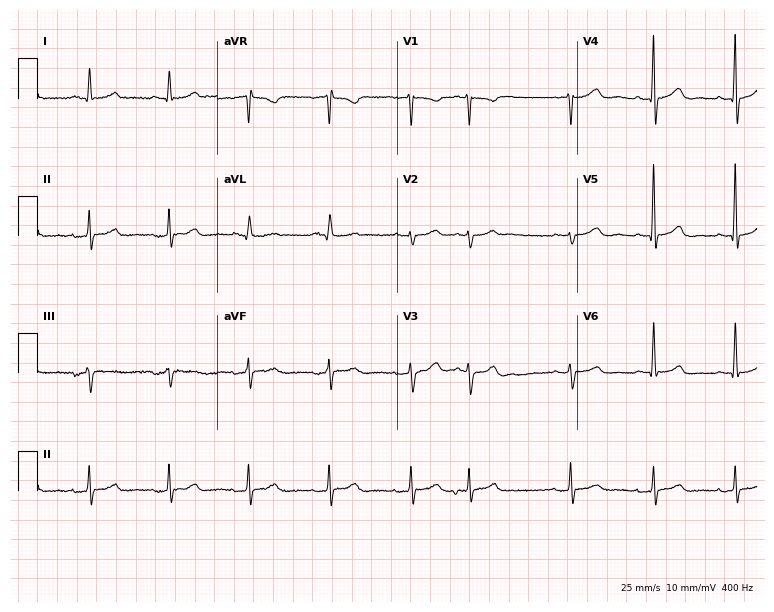
12-lead ECG from a man, 71 years old. Screened for six findings — first-degree AV block, right bundle branch block, left bundle branch block, sinus bradycardia, atrial fibrillation, sinus tachycardia — none is recorded.